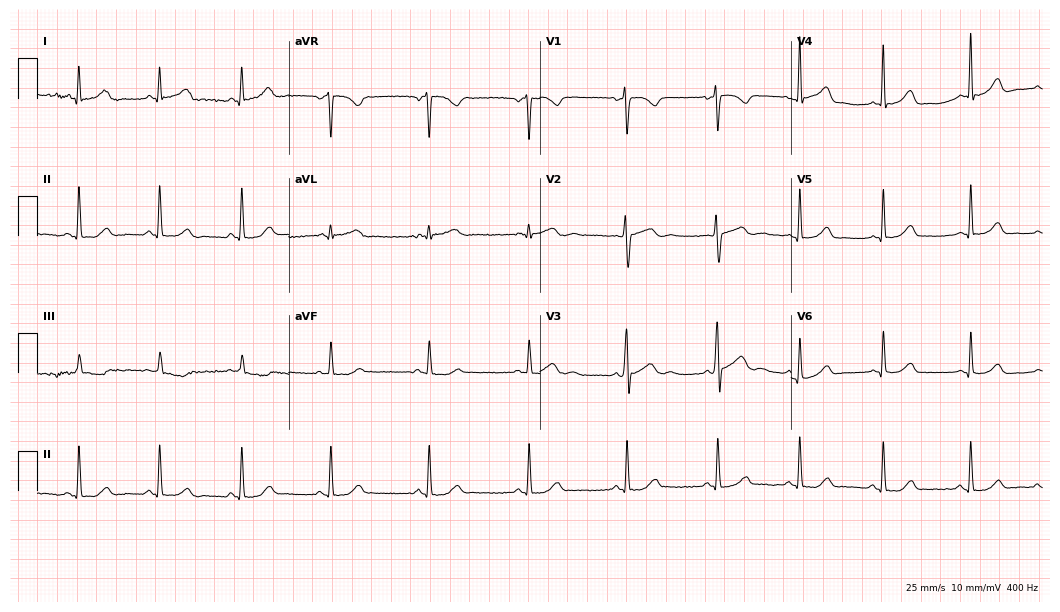
12-lead ECG (10.2-second recording at 400 Hz) from a 20-year-old female patient. Labelled as a normal ECG.